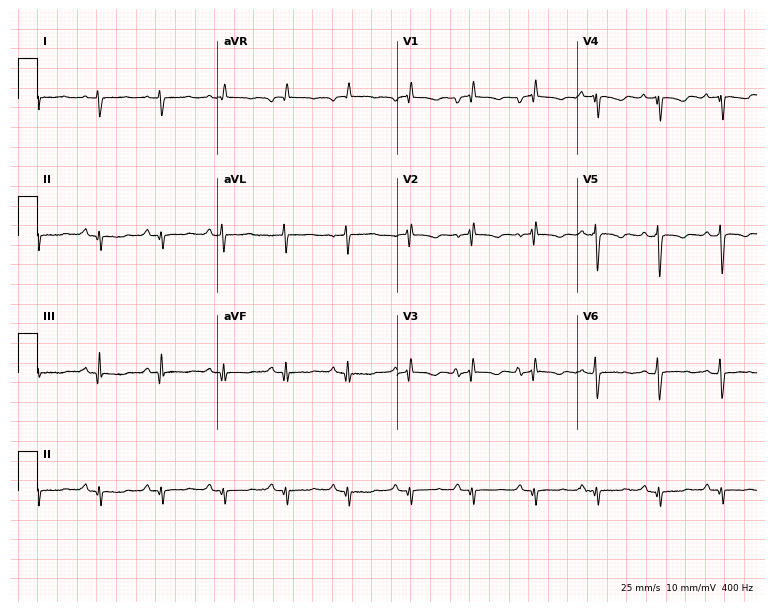
12-lead ECG from a female patient, 83 years old (7.3-second recording at 400 Hz). No first-degree AV block, right bundle branch block (RBBB), left bundle branch block (LBBB), sinus bradycardia, atrial fibrillation (AF) or sinus tachycardia recorded for this tracing.